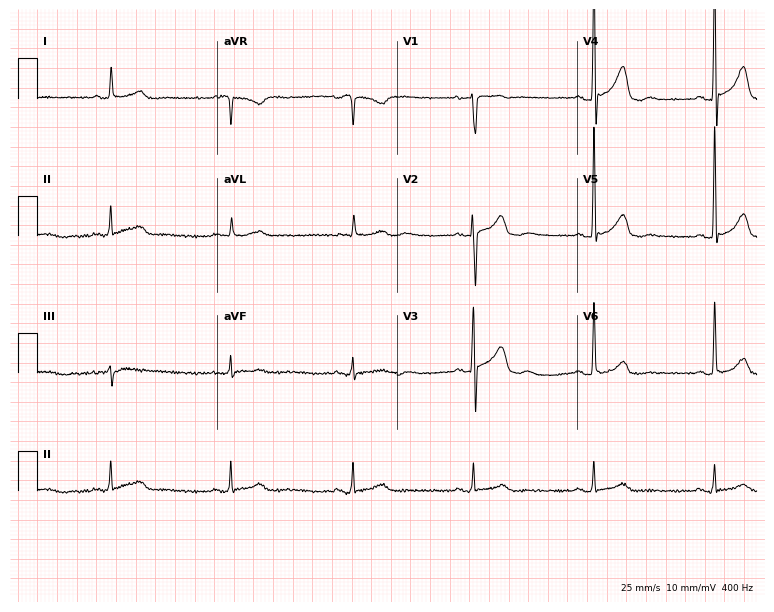
Electrocardiogram, an 81-year-old woman. Of the six screened findings (first-degree AV block, right bundle branch block (RBBB), left bundle branch block (LBBB), sinus bradycardia, atrial fibrillation (AF), sinus tachycardia), none is recorded.